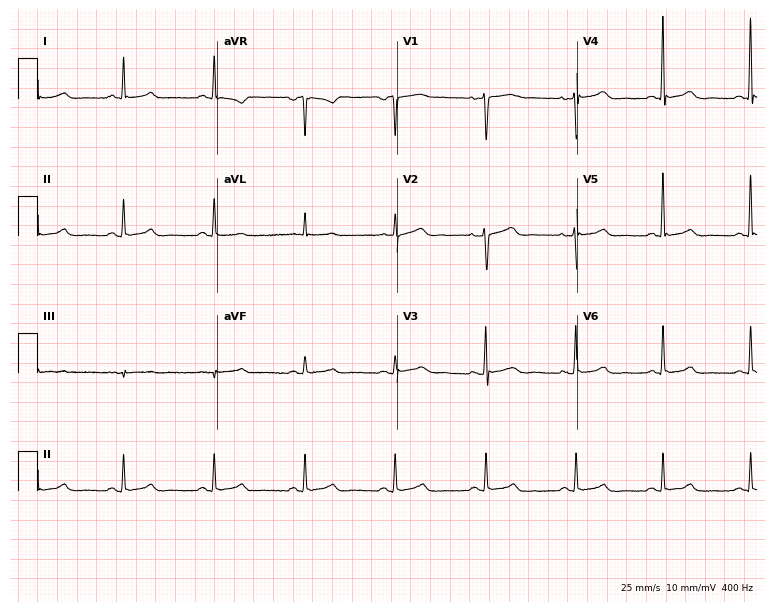
ECG (7.3-second recording at 400 Hz) — a 57-year-old female patient. Screened for six findings — first-degree AV block, right bundle branch block (RBBB), left bundle branch block (LBBB), sinus bradycardia, atrial fibrillation (AF), sinus tachycardia — none is recorded. Other findings, if any, are not listed.